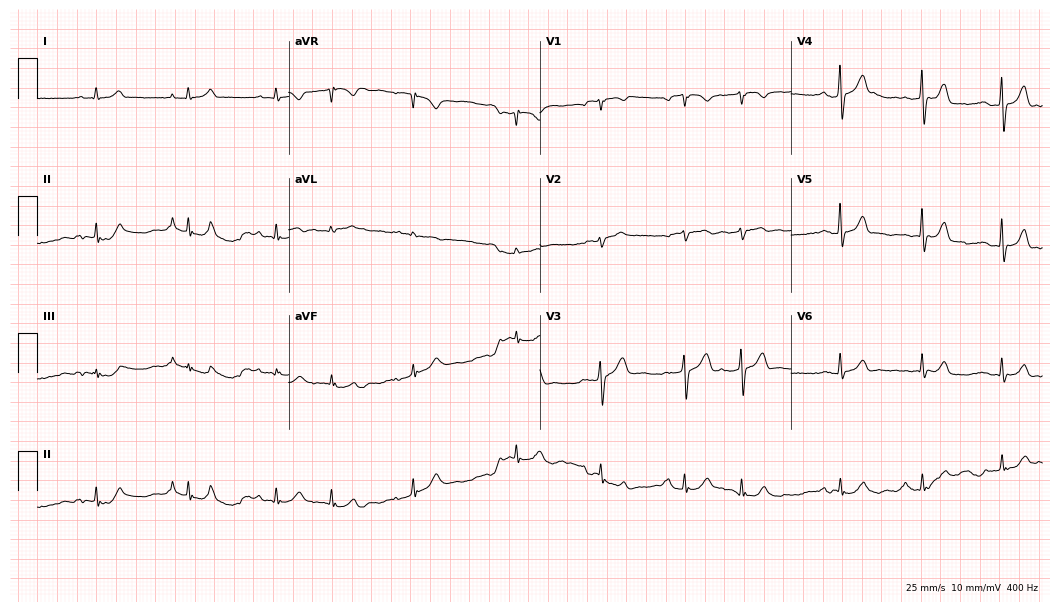
12-lead ECG (10.2-second recording at 400 Hz) from a man, 73 years old. Screened for six findings — first-degree AV block, right bundle branch block, left bundle branch block, sinus bradycardia, atrial fibrillation, sinus tachycardia — none is recorded. Only these six findings were labelled.